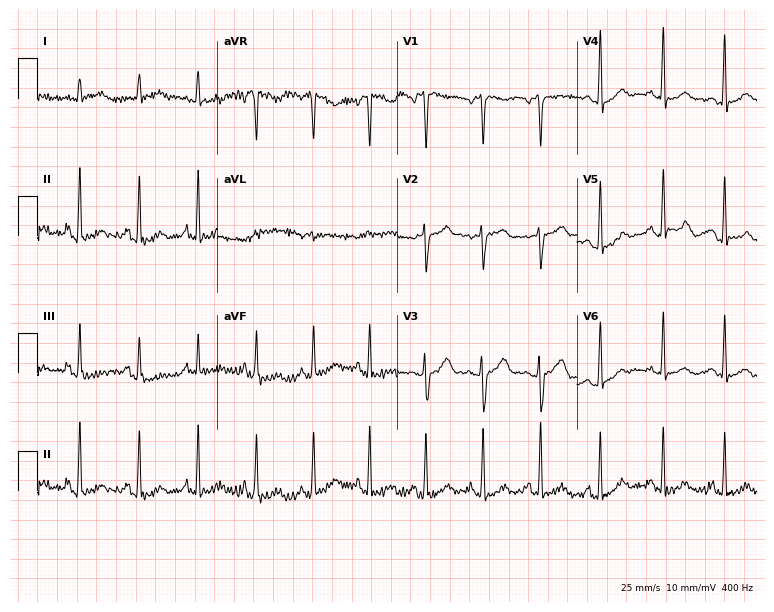
Standard 12-lead ECG recorded from a female patient, 34 years old (7.3-second recording at 400 Hz). The tracing shows sinus tachycardia (a sinus rate of 100 beats per minute or more).